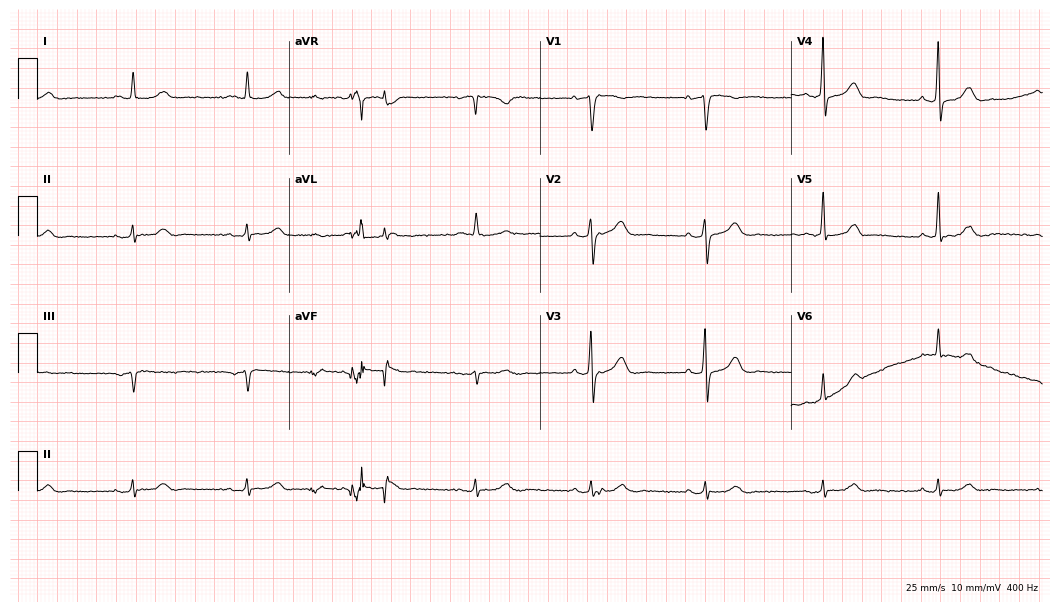
Electrocardiogram (10.2-second recording at 400 Hz), a 72-year-old male. Overall reading on record: normal ECG.